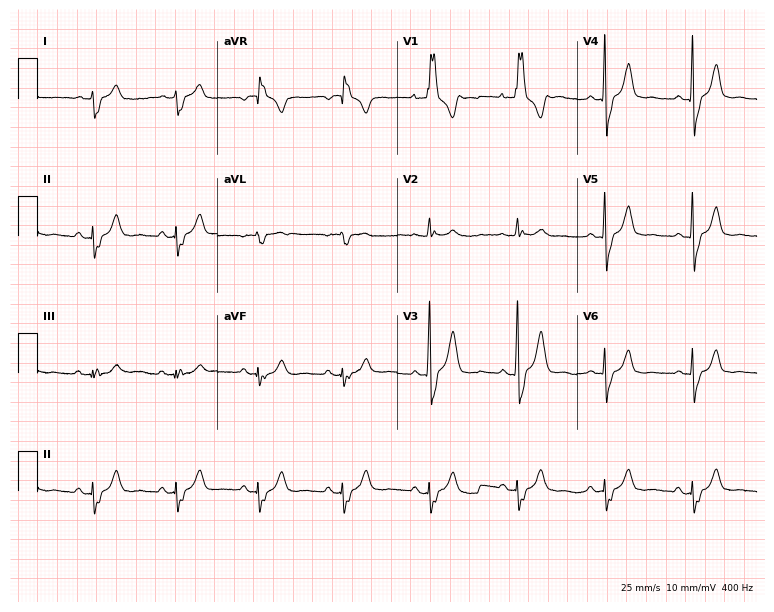
ECG — a 54-year-old woman. Screened for six findings — first-degree AV block, right bundle branch block, left bundle branch block, sinus bradycardia, atrial fibrillation, sinus tachycardia — none is recorded. Other findings, if any, are not listed.